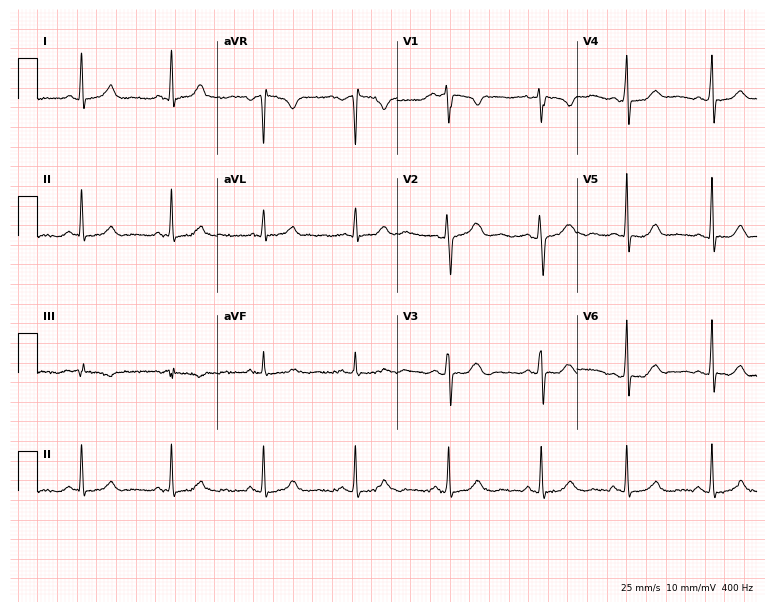
Resting 12-lead electrocardiogram. Patient: a 37-year-old woman. Read as a normal ECG.